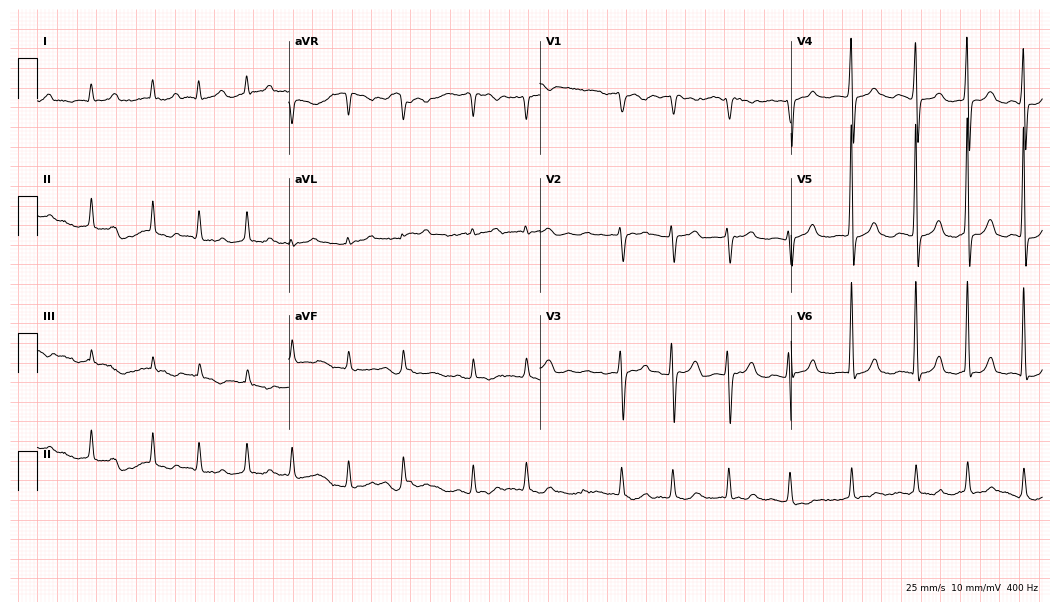
Electrocardiogram, an 83-year-old female. Of the six screened findings (first-degree AV block, right bundle branch block, left bundle branch block, sinus bradycardia, atrial fibrillation, sinus tachycardia), none is recorded.